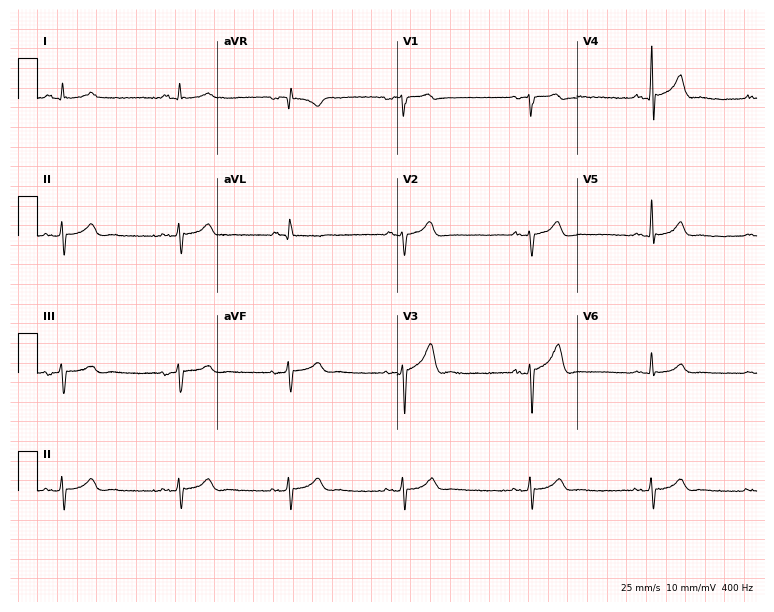
Electrocardiogram (7.3-second recording at 400 Hz), a male, 40 years old. Of the six screened findings (first-degree AV block, right bundle branch block (RBBB), left bundle branch block (LBBB), sinus bradycardia, atrial fibrillation (AF), sinus tachycardia), none is recorded. Only these six findings were labelled.